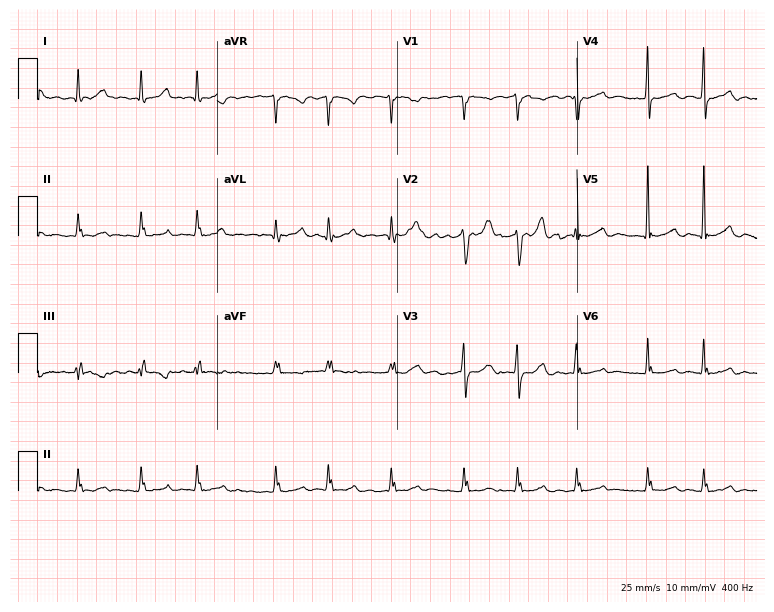
12-lead ECG from a male, 64 years old. Shows atrial fibrillation.